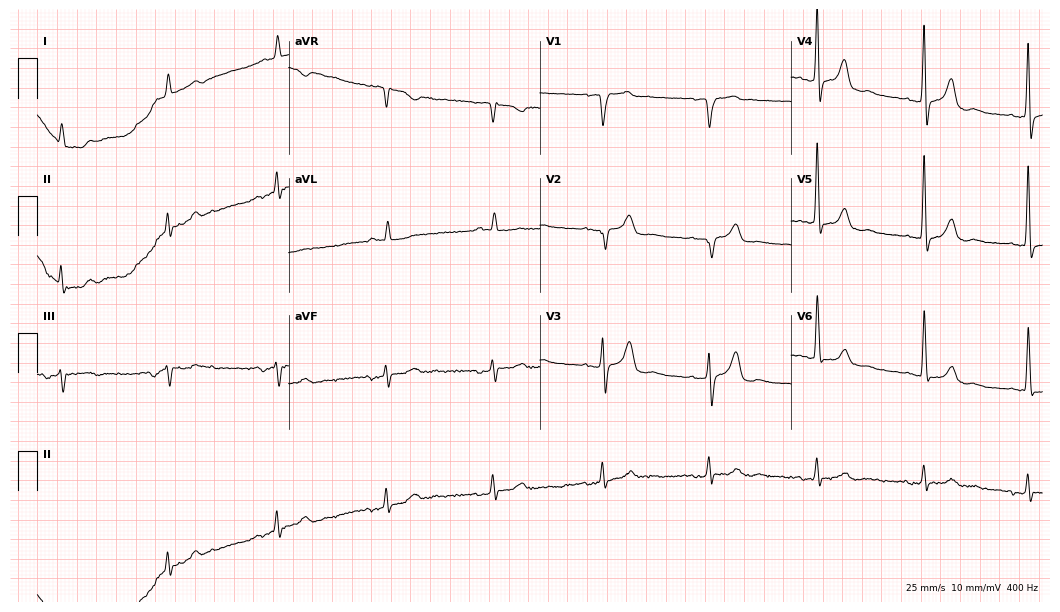
12-lead ECG from a man, 71 years old. Labelled as a normal ECG.